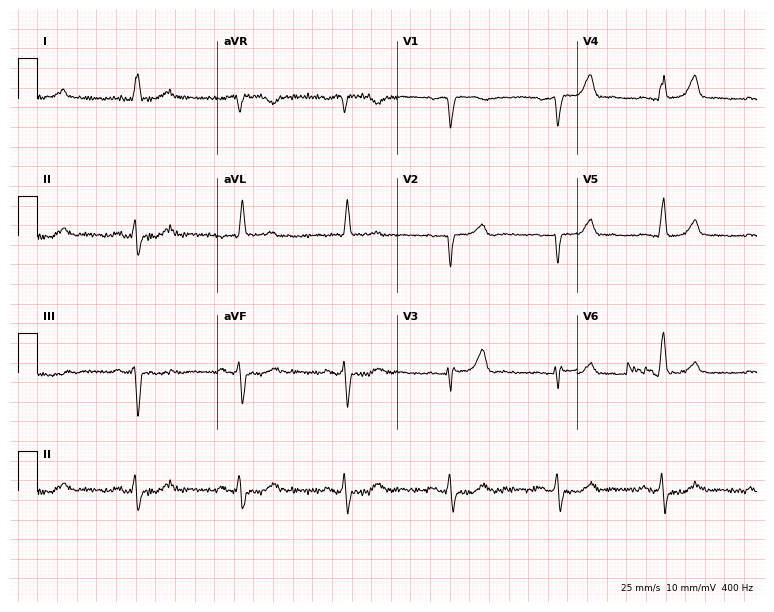
12-lead ECG (7.3-second recording at 400 Hz) from a woman, 73 years old. Screened for six findings — first-degree AV block, right bundle branch block, left bundle branch block, sinus bradycardia, atrial fibrillation, sinus tachycardia — none is recorded. Only these six findings were labelled.